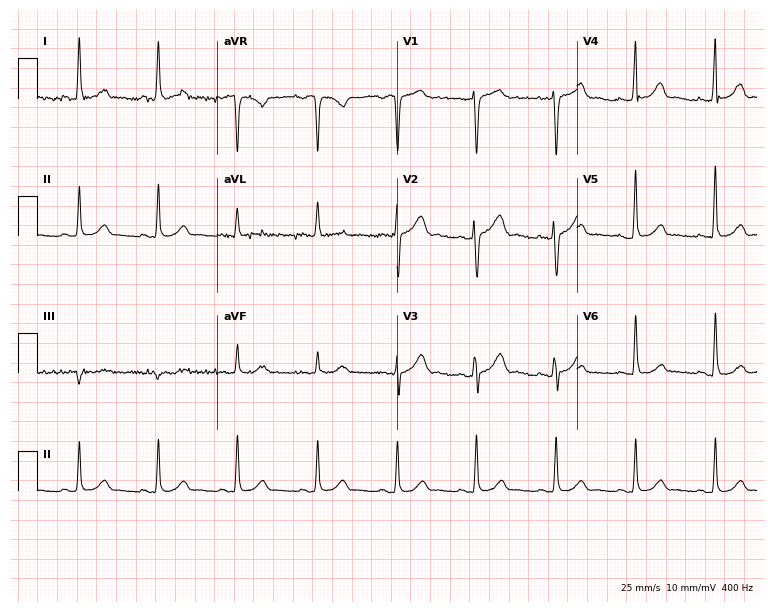
Resting 12-lead electrocardiogram. Patient: a female, 35 years old. None of these six findings is recorded: first-degree AV block, right bundle branch block, left bundle branch block, sinus bradycardia, atrial fibrillation, sinus tachycardia. Only these six findings were labelled.